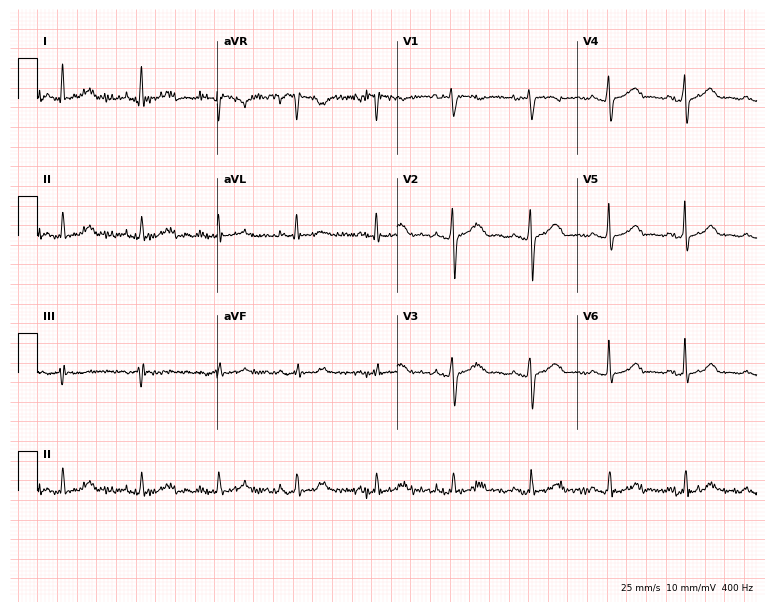
12-lead ECG from a female patient, 36 years old (7.3-second recording at 400 Hz). Recorded interpretation: within normal limits.